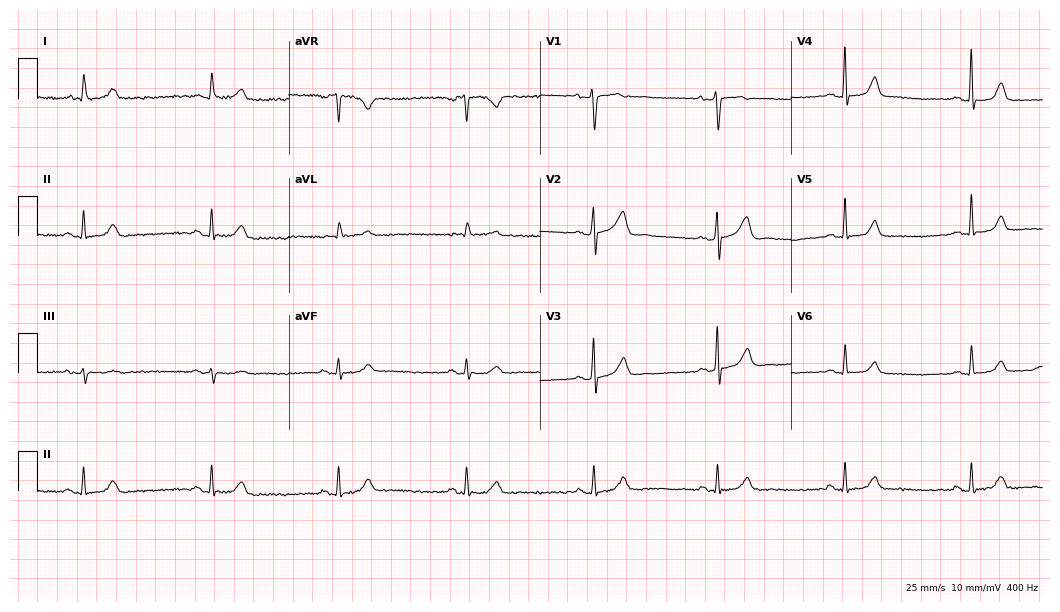
Standard 12-lead ECG recorded from a female patient, 46 years old. The tracing shows sinus bradycardia (a sinus rate of 50 beats per minute or less).